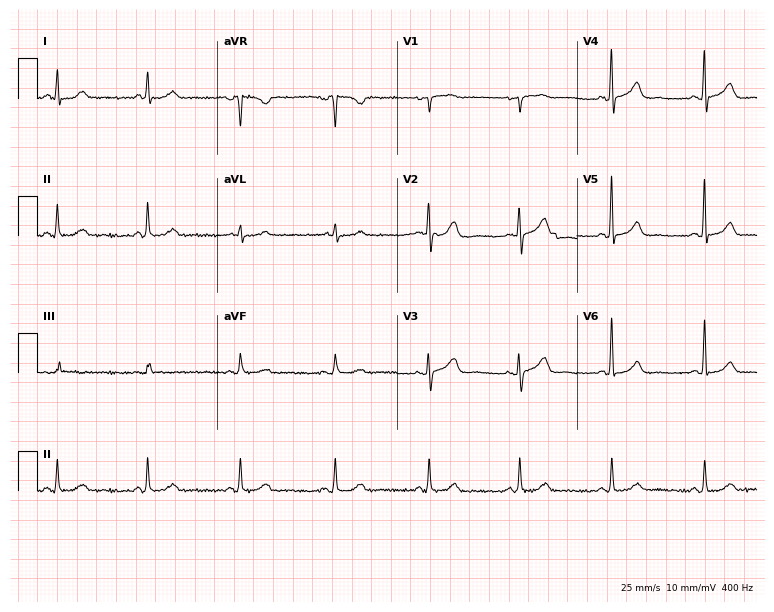
Standard 12-lead ECG recorded from a woman, 49 years old (7.3-second recording at 400 Hz). Read as a normal ECG.